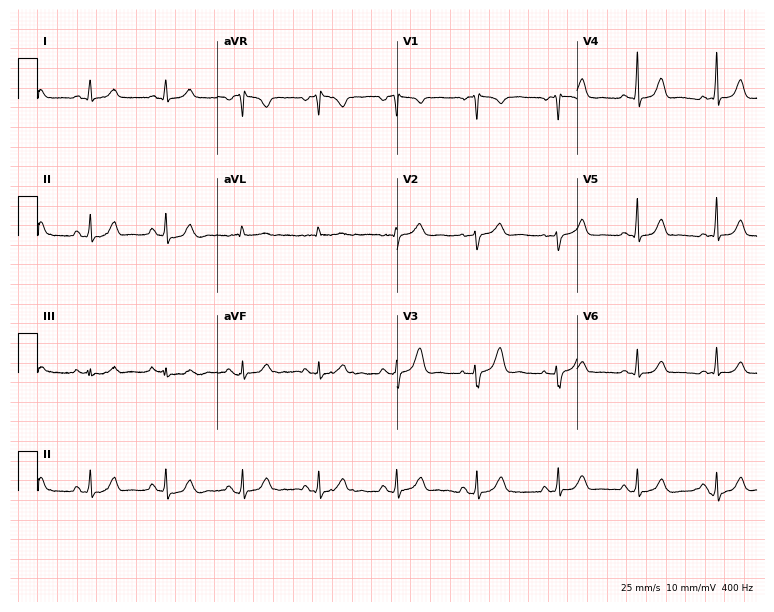
ECG — a 59-year-old female. Labelled as a normal ECG.